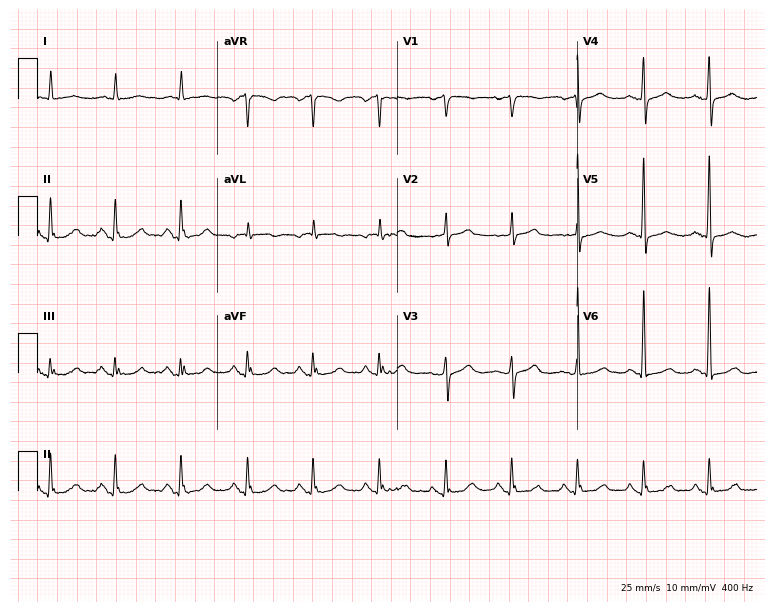
Resting 12-lead electrocardiogram (7.3-second recording at 400 Hz). Patient: an 80-year-old female. None of these six findings is recorded: first-degree AV block, right bundle branch block (RBBB), left bundle branch block (LBBB), sinus bradycardia, atrial fibrillation (AF), sinus tachycardia.